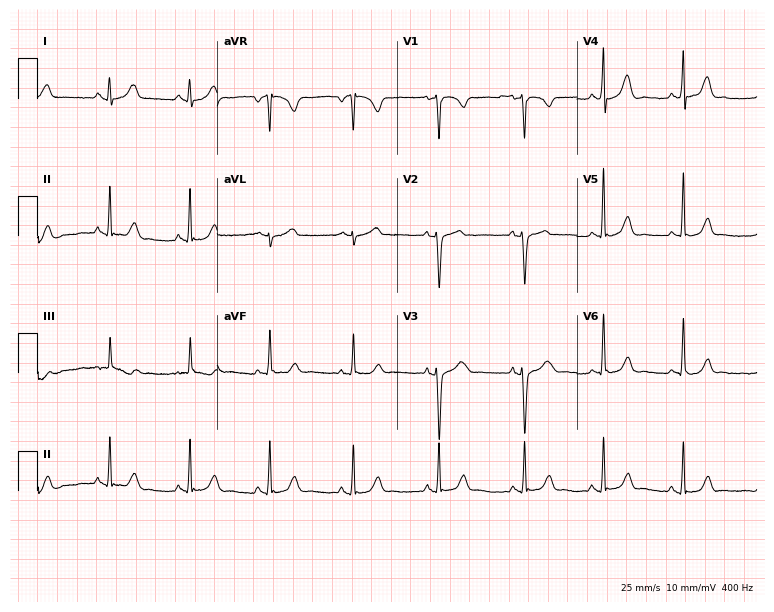
Resting 12-lead electrocardiogram. Patient: a male, 25 years old. Read as a normal ECG.